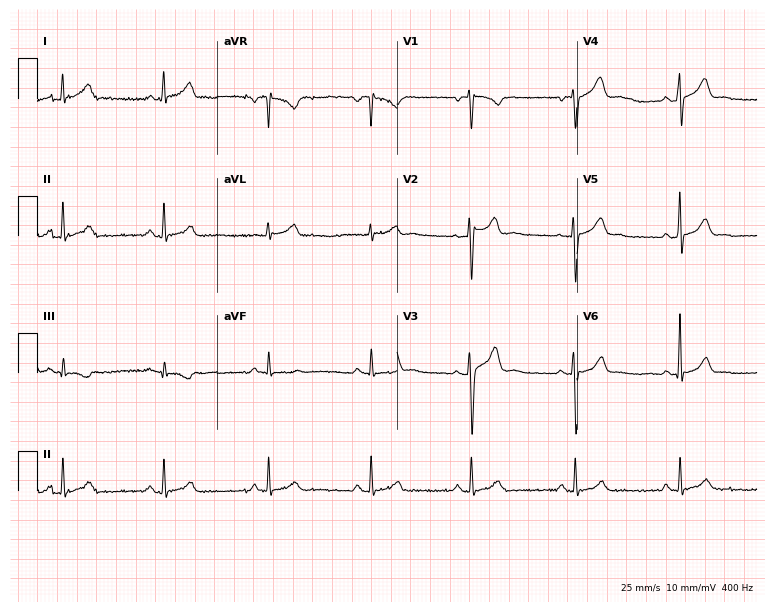
Electrocardiogram, a 44-year-old male patient. Overall reading on record: normal ECG.